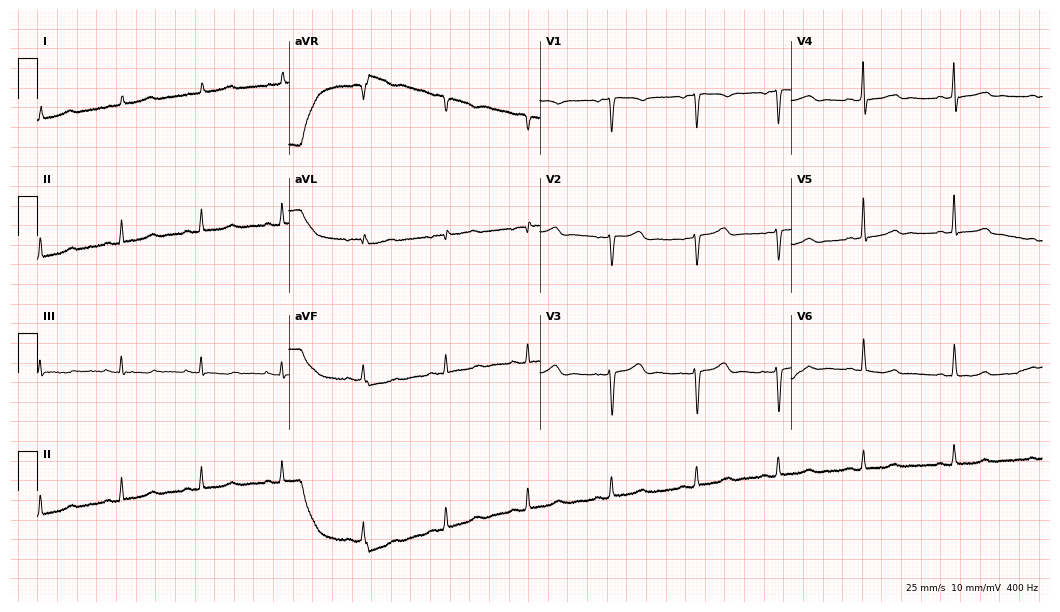
12-lead ECG (10.2-second recording at 400 Hz) from a woman, 58 years old. Screened for six findings — first-degree AV block, right bundle branch block, left bundle branch block, sinus bradycardia, atrial fibrillation, sinus tachycardia — none is recorded. Only these six findings were labelled.